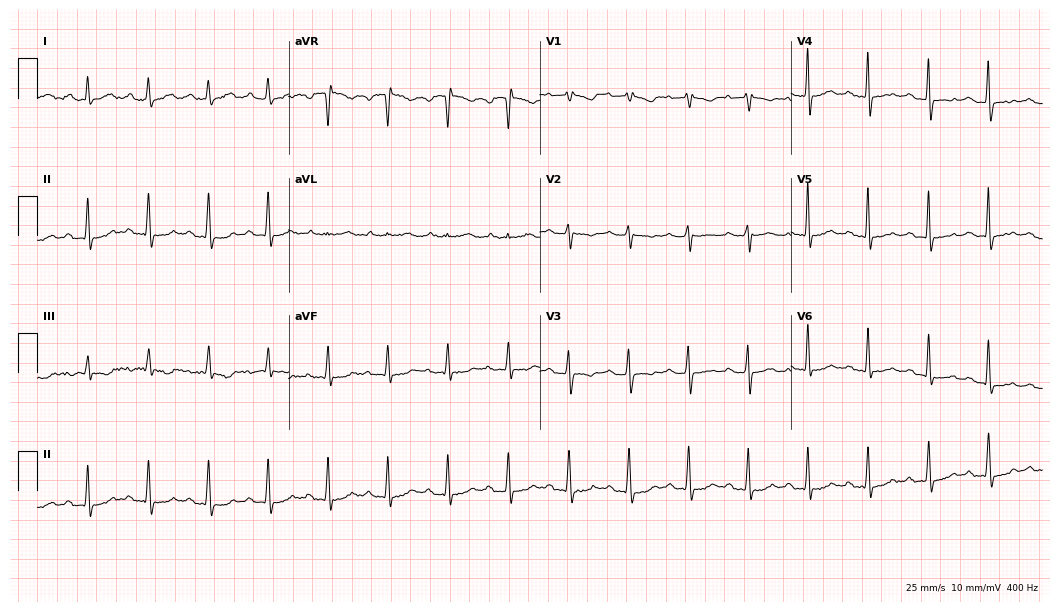
Standard 12-lead ECG recorded from a female, 85 years old. None of these six findings is recorded: first-degree AV block, right bundle branch block (RBBB), left bundle branch block (LBBB), sinus bradycardia, atrial fibrillation (AF), sinus tachycardia.